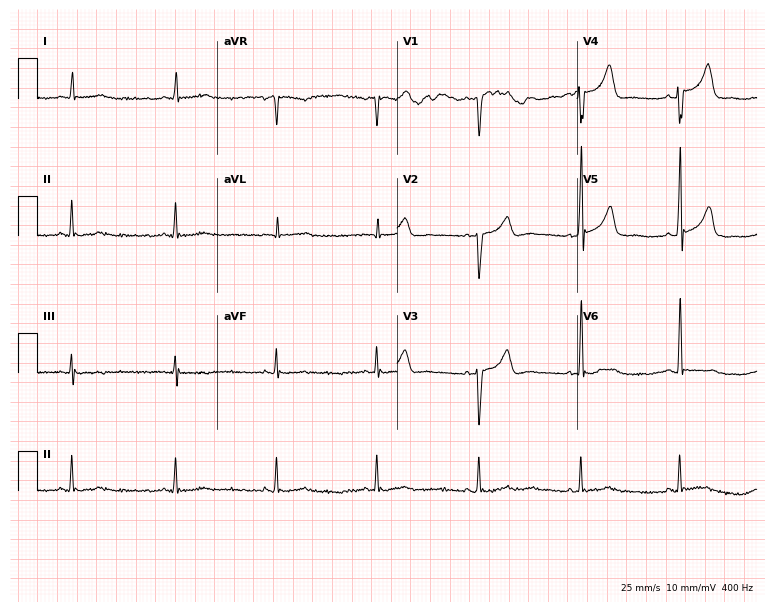
ECG (7.3-second recording at 400 Hz) — a 79-year-old male. Screened for six findings — first-degree AV block, right bundle branch block, left bundle branch block, sinus bradycardia, atrial fibrillation, sinus tachycardia — none is recorded. Other findings, if any, are not listed.